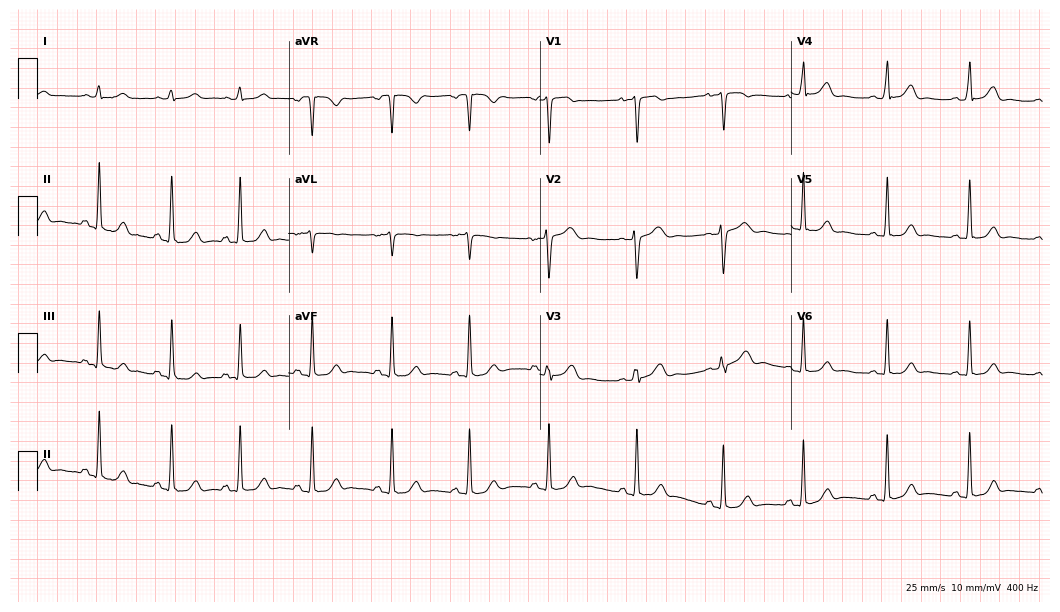
Electrocardiogram (10.2-second recording at 400 Hz), a 22-year-old female patient. Overall reading on record: normal ECG.